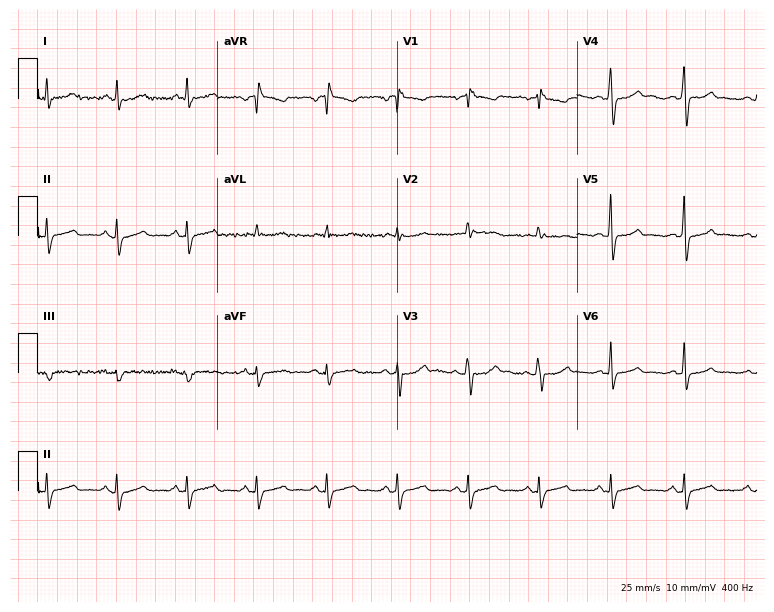
Resting 12-lead electrocardiogram (7.3-second recording at 400 Hz). Patient: a male, 53 years old. None of these six findings is recorded: first-degree AV block, right bundle branch block (RBBB), left bundle branch block (LBBB), sinus bradycardia, atrial fibrillation (AF), sinus tachycardia.